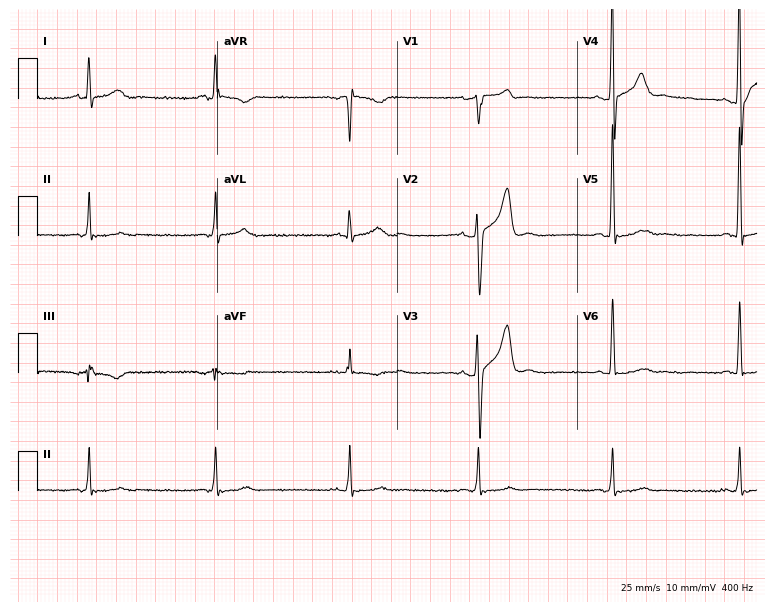
12-lead ECG from a male patient, 46 years old. Screened for six findings — first-degree AV block, right bundle branch block, left bundle branch block, sinus bradycardia, atrial fibrillation, sinus tachycardia — none is recorded. Findings outside these six are not listed.